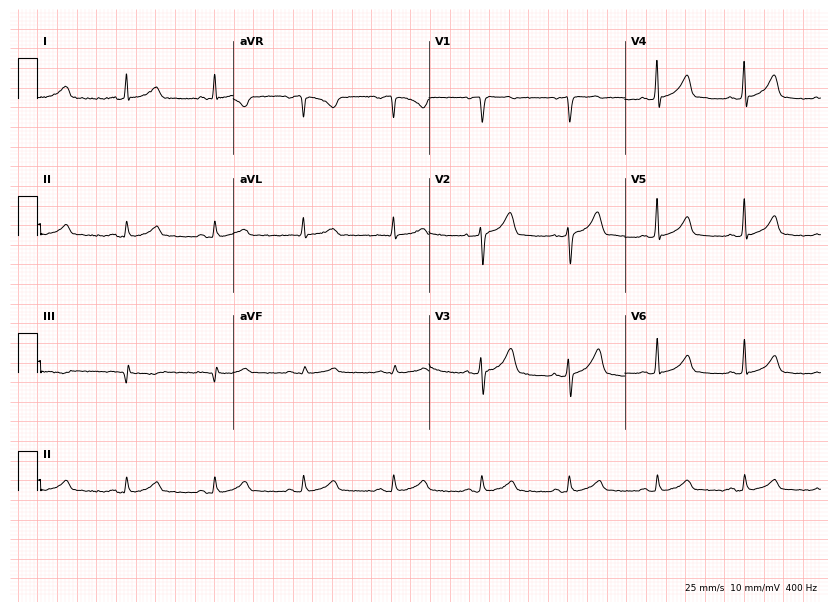
ECG (8-second recording at 400 Hz) — a 36-year-old male. Labelled as a normal ECG.